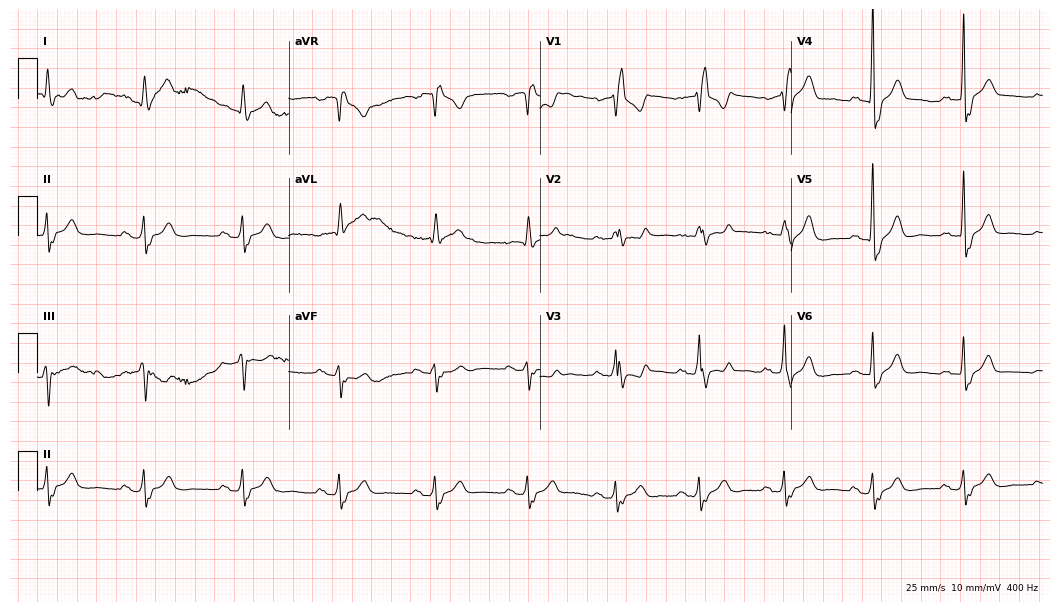
Resting 12-lead electrocardiogram (10.2-second recording at 400 Hz). Patient: a 73-year-old man. None of these six findings is recorded: first-degree AV block, right bundle branch block (RBBB), left bundle branch block (LBBB), sinus bradycardia, atrial fibrillation (AF), sinus tachycardia.